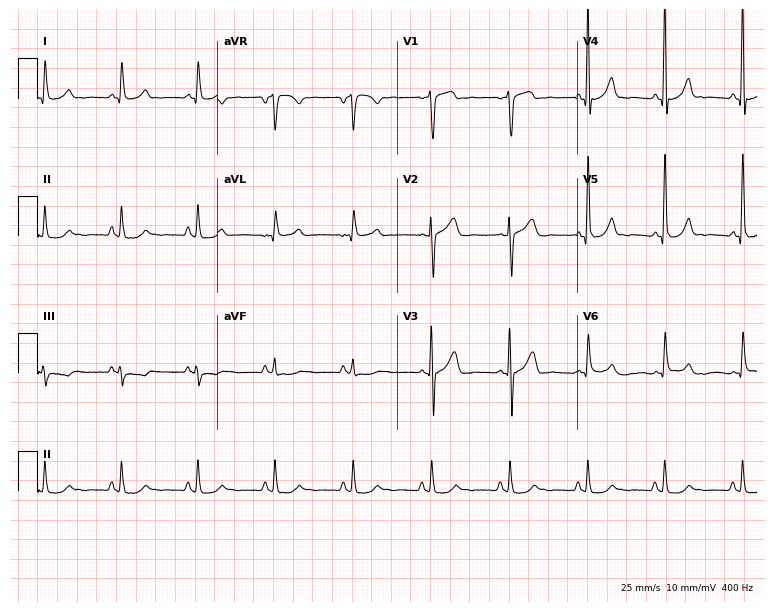
12-lead ECG from a male, 61 years old (7.3-second recording at 400 Hz). Recorded interpretation: within normal limits.